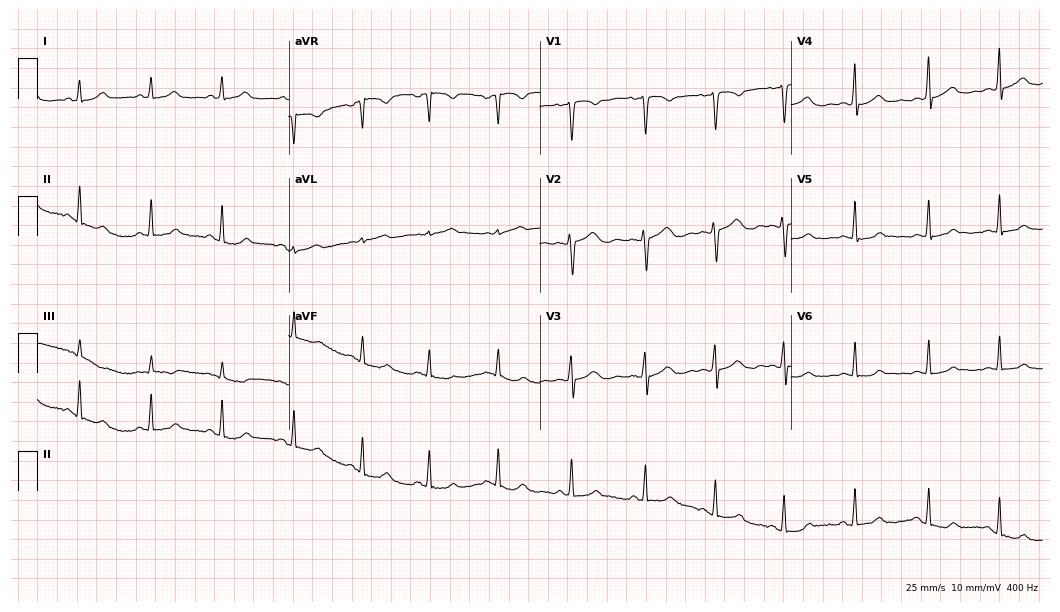
12-lead ECG from a 48-year-old woman (10.2-second recording at 400 Hz). Recorded interpretation: within normal limits.